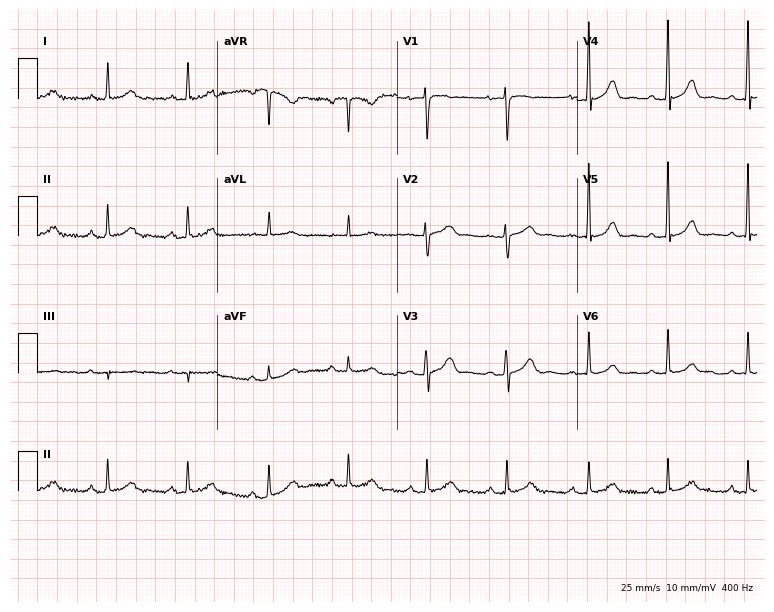
Resting 12-lead electrocardiogram. Patient: a woman, 44 years old. None of these six findings is recorded: first-degree AV block, right bundle branch block, left bundle branch block, sinus bradycardia, atrial fibrillation, sinus tachycardia. Findings outside these six are not listed.